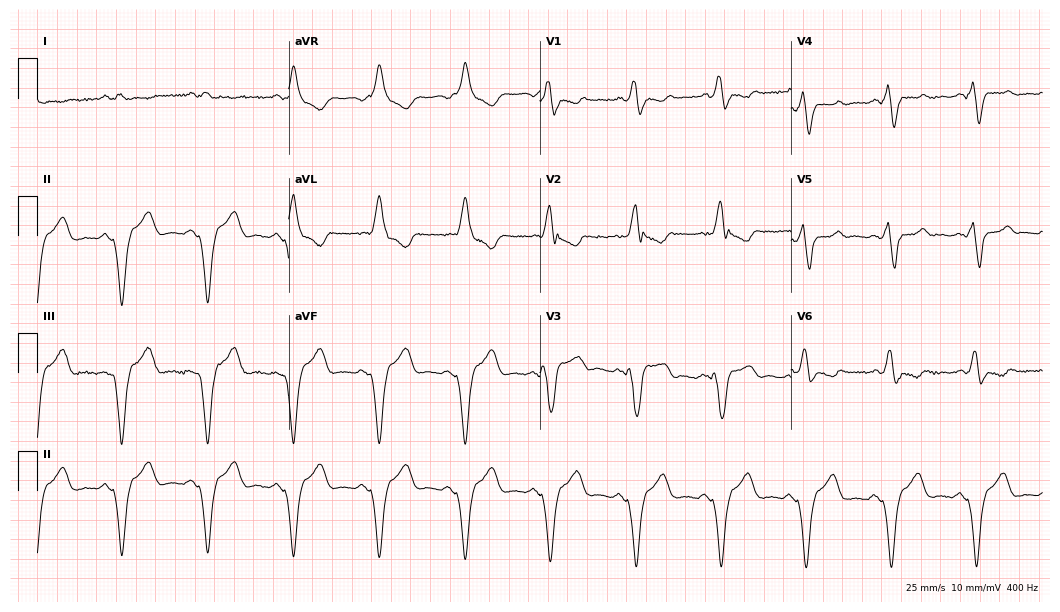
Electrocardiogram, a male, 60 years old. Of the six screened findings (first-degree AV block, right bundle branch block, left bundle branch block, sinus bradycardia, atrial fibrillation, sinus tachycardia), none is recorded.